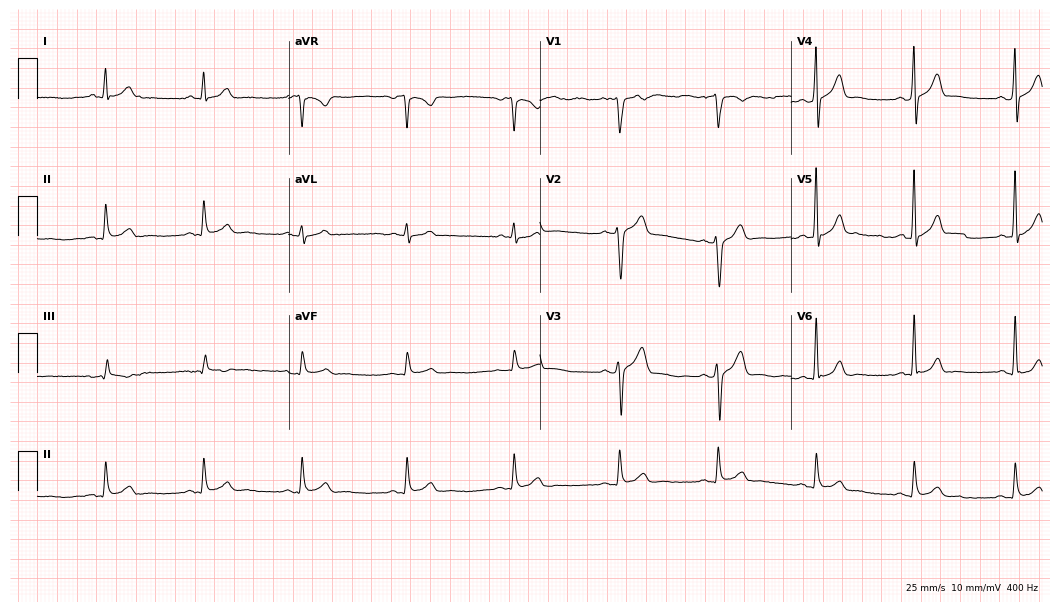
Resting 12-lead electrocardiogram (10.2-second recording at 400 Hz). Patient: a 30-year-old male. Read as a normal ECG.